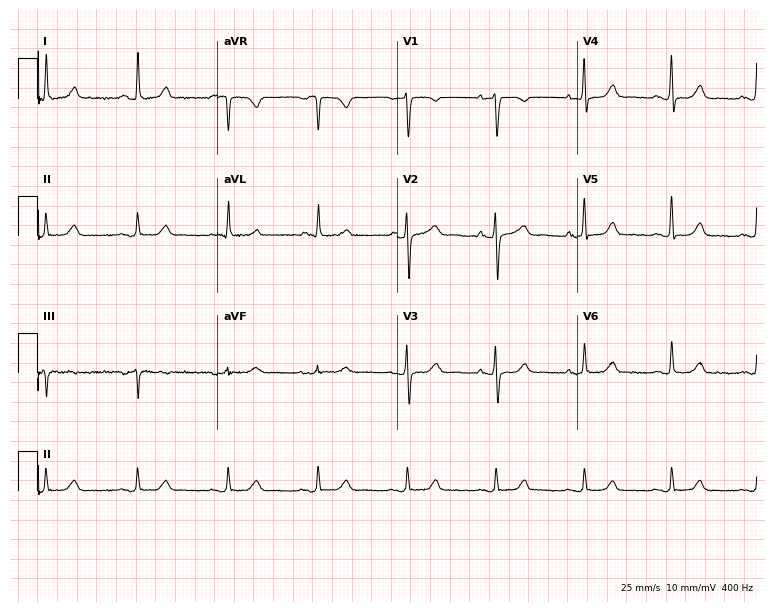
Resting 12-lead electrocardiogram. Patient: a woman, 62 years old. None of these six findings is recorded: first-degree AV block, right bundle branch block, left bundle branch block, sinus bradycardia, atrial fibrillation, sinus tachycardia.